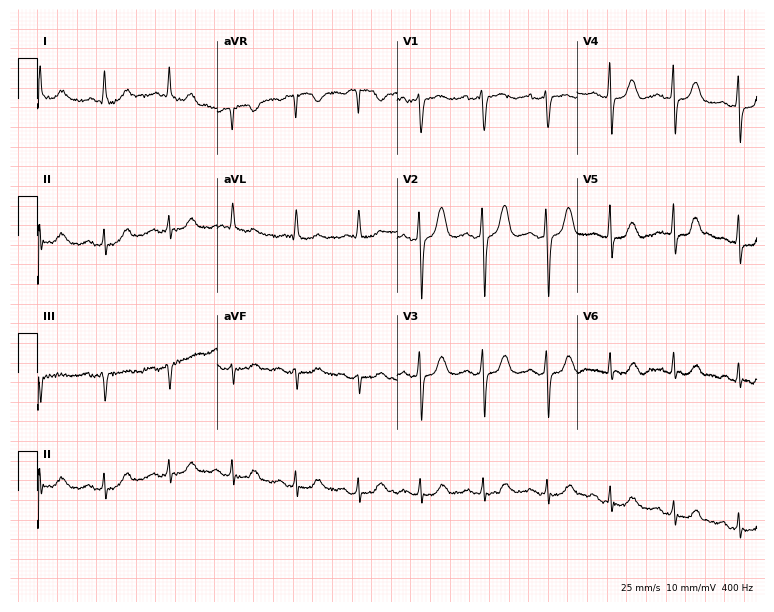
12-lead ECG from a female patient, 77 years old. Recorded interpretation: within normal limits.